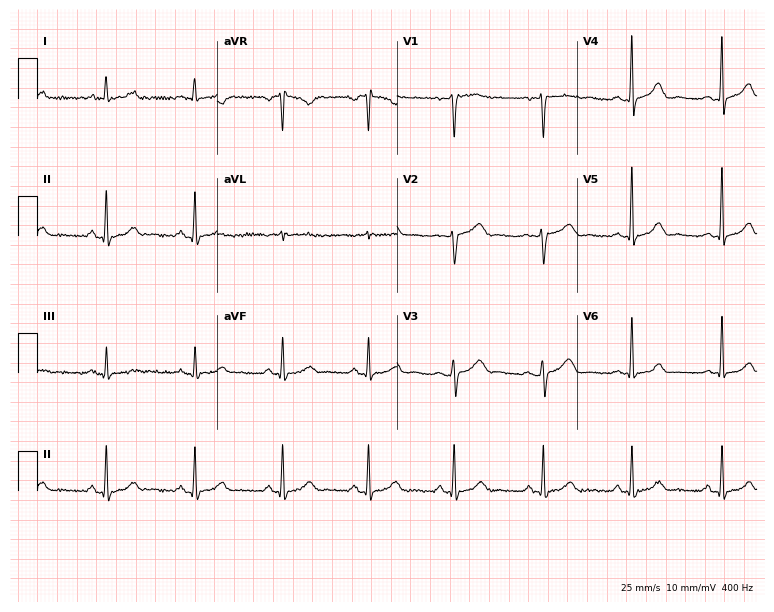
Electrocardiogram (7.3-second recording at 400 Hz), a female patient, 40 years old. Overall reading on record: normal ECG.